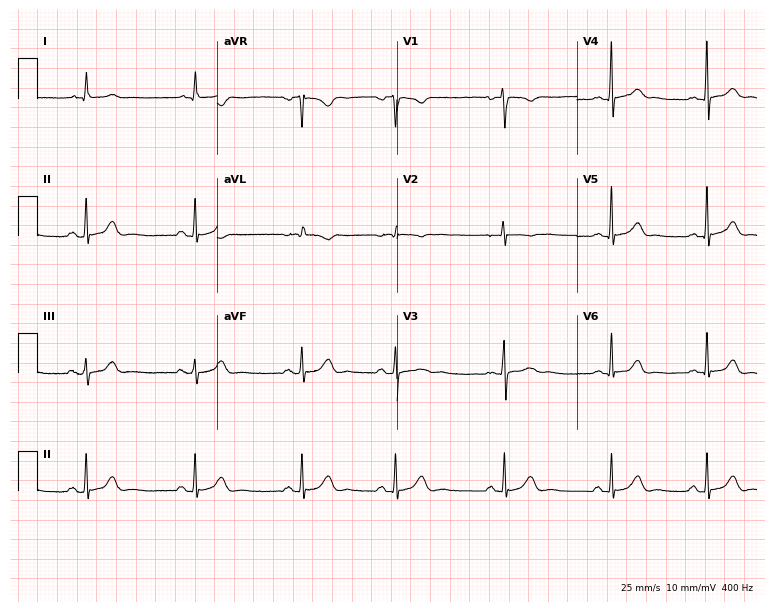
12-lead ECG from a female, 18 years old. Labelled as a normal ECG.